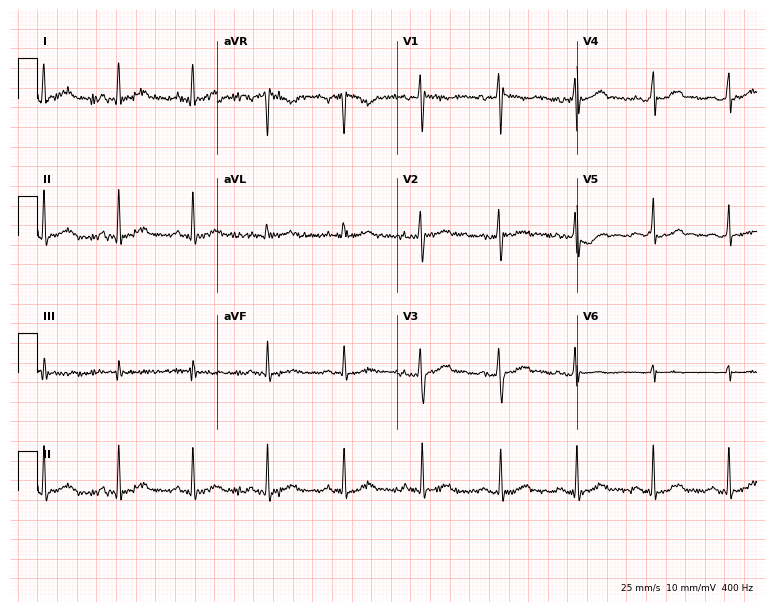
Resting 12-lead electrocardiogram (7.3-second recording at 400 Hz). Patient: a female, 31 years old. Read as a normal ECG.